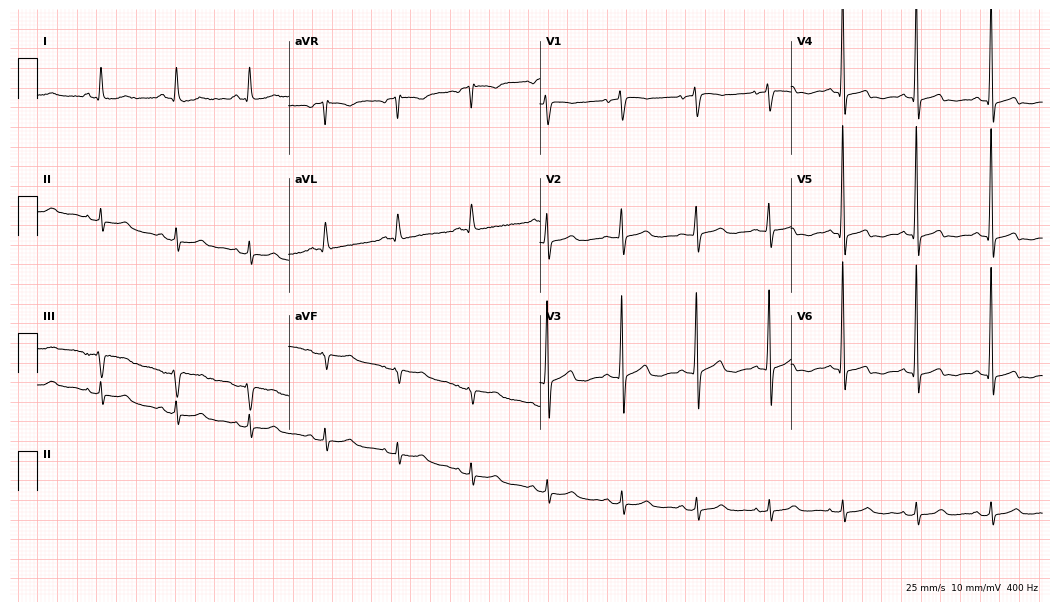
Resting 12-lead electrocardiogram (10.2-second recording at 400 Hz). Patient: an 81-year-old male. Read as a normal ECG.